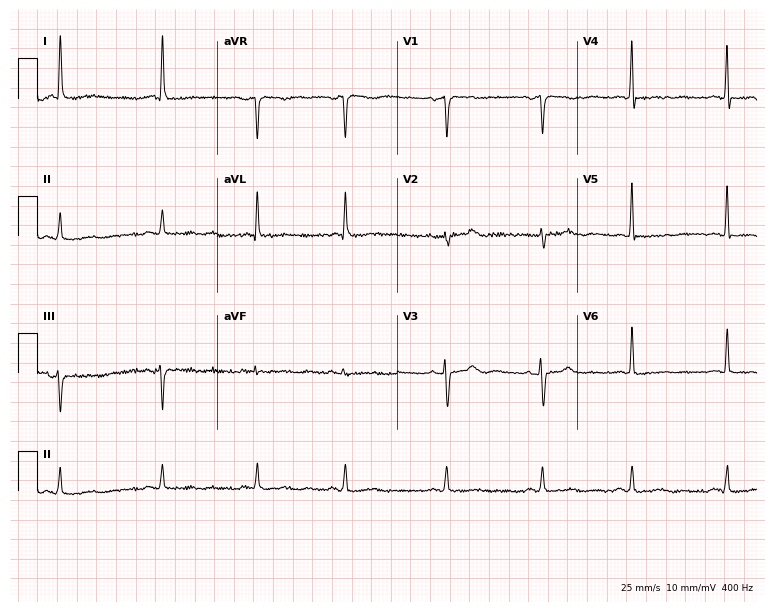
Resting 12-lead electrocardiogram. Patient: a 52-year-old female. None of these six findings is recorded: first-degree AV block, right bundle branch block, left bundle branch block, sinus bradycardia, atrial fibrillation, sinus tachycardia.